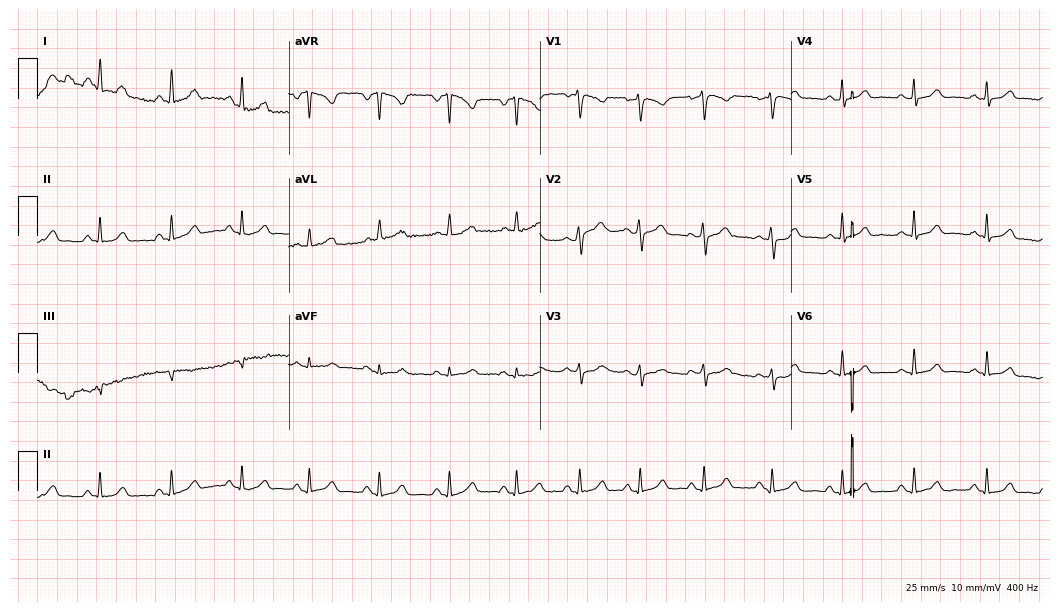
ECG (10.2-second recording at 400 Hz) — a 47-year-old female patient. Labelled as a normal ECG.